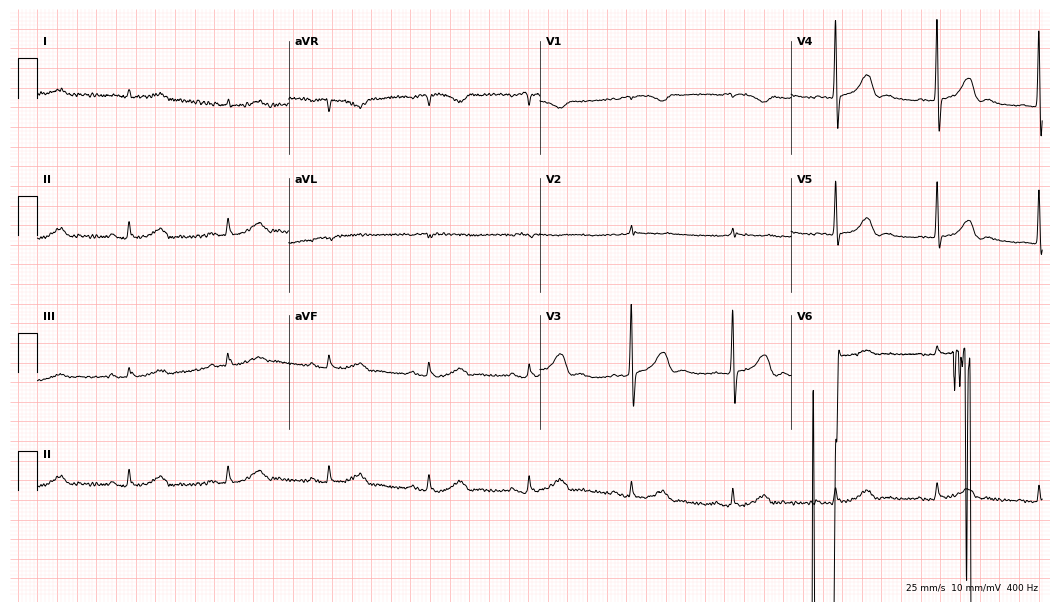
Resting 12-lead electrocardiogram. Patient: a male, 79 years old. The tracing shows atrial fibrillation (AF).